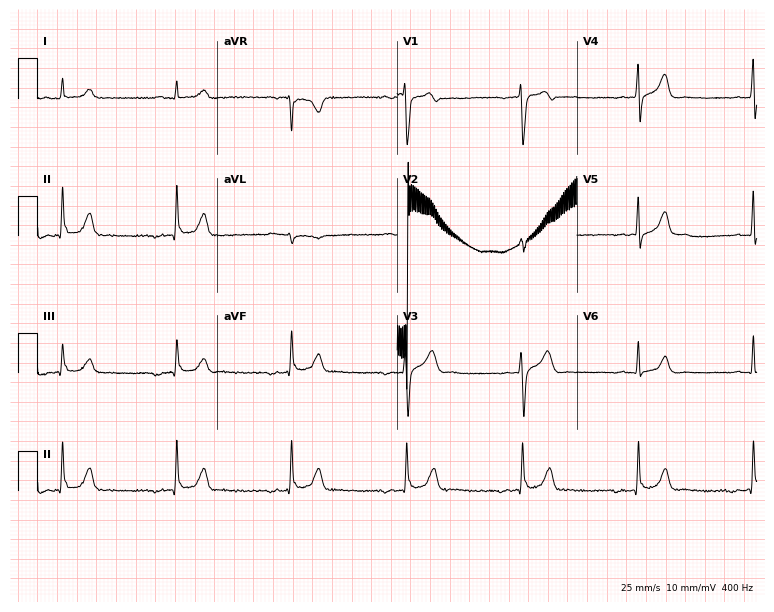
12-lead ECG from a male, 56 years old. Labelled as a normal ECG.